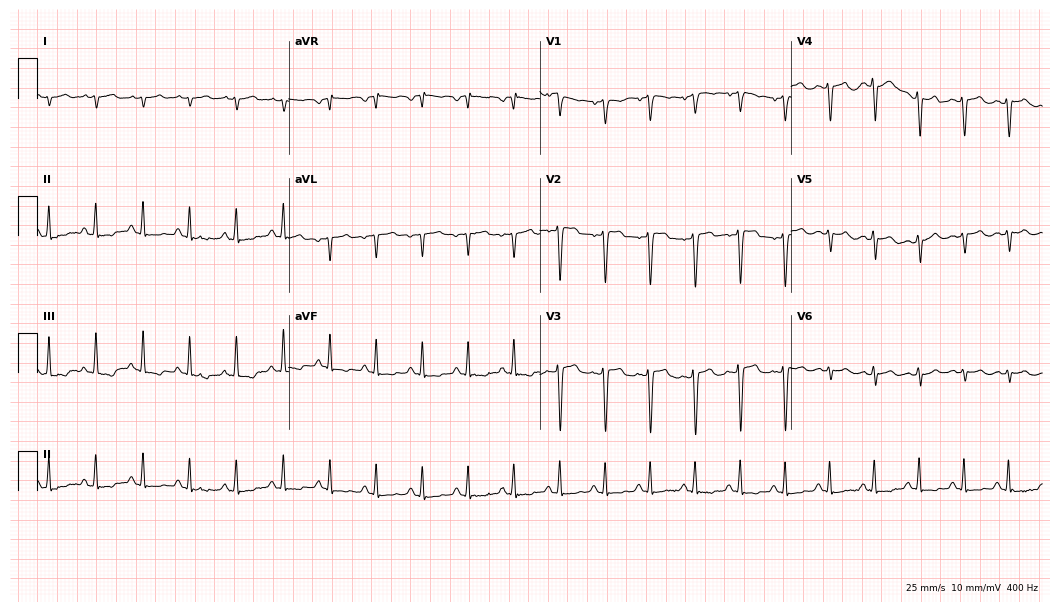
ECG (10.2-second recording at 400 Hz) — a male, 56 years old. Screened for six findings — first-degree AV block, right bundle branch block (RBBB), left bundle branch block (LBBB), sinus bradycardia, atrial fibrillation (AF), sinus tachycardia — none is recorded.